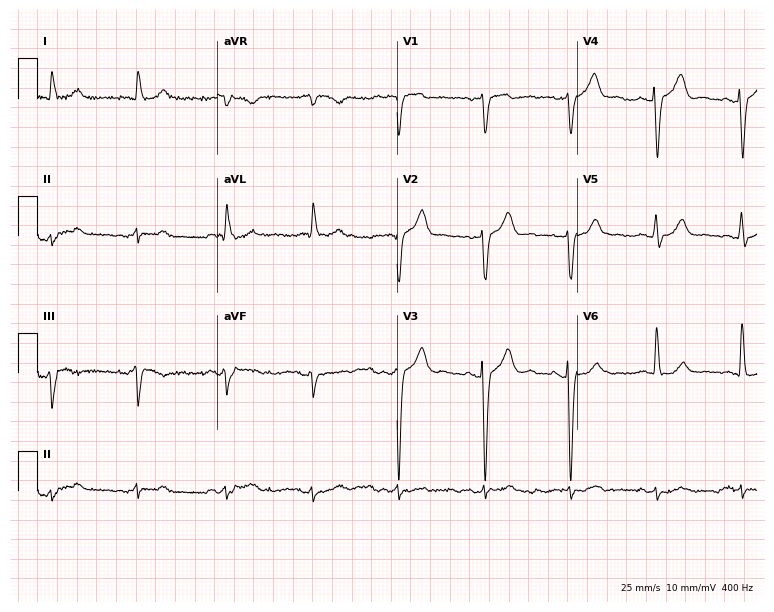
ECG — a man, 74 years old. Screened for six findings — first-degree AV block, right bundle branch block (RBBB), left bundle branch block (LBBB), sinus bradycardia, atrial fibrillation (AF), sinus tachycardia — none is recorded. Other findings, if any, are not listed.